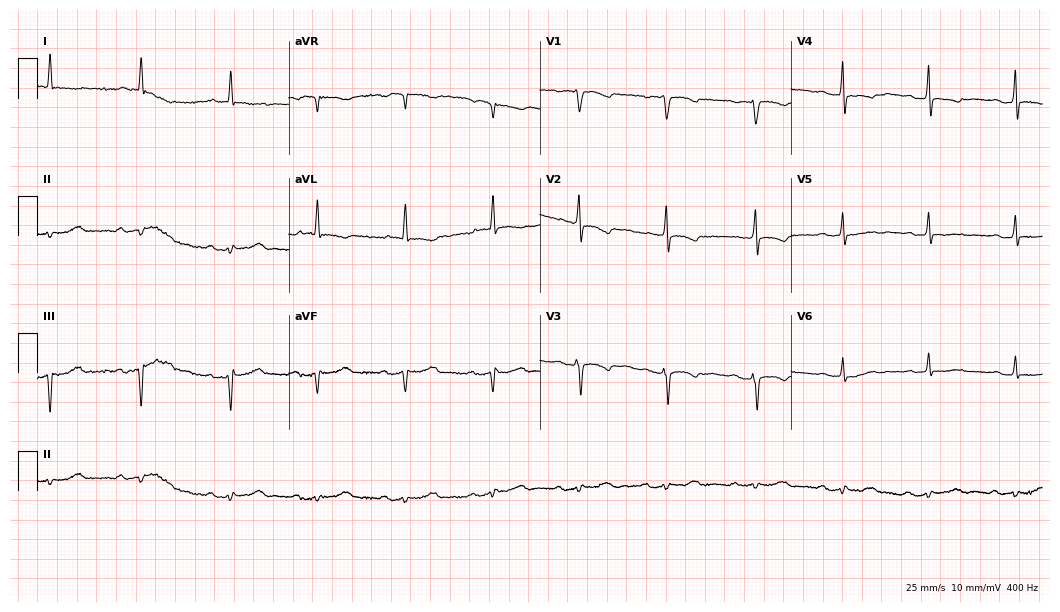
ECG — an 81-year-old female. Screened for six findings — first-degree AV block, right bundle branch block, left bundle branch block, sinus bradycardia, atrial fibrillation, sinus tachycardia — none is recorded. Only these six findings were labelled.